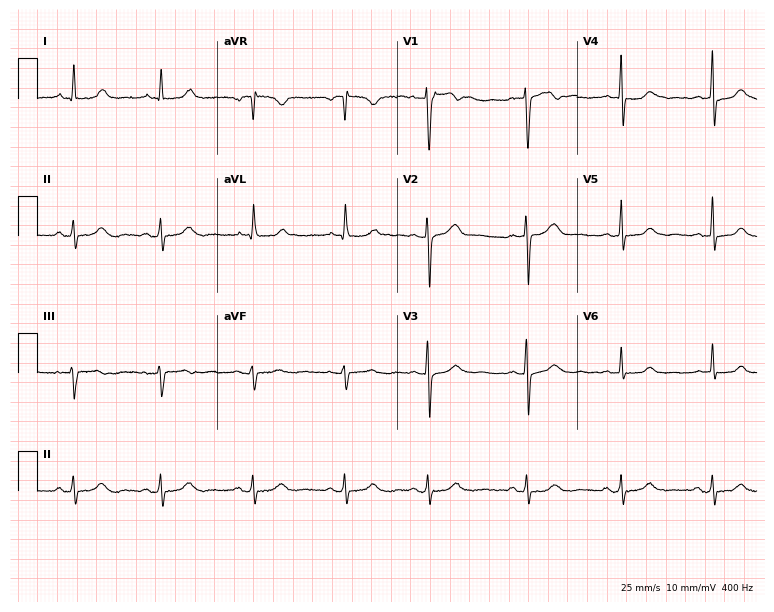
Standard 12-lead ECG recorded from a 40-year-old woman. None of these six findings is recorded: first-degree AV block, right bundle branch block (RBBB), left bundle branch block (LBBB), sinus bradycardia, atrial fibrillation (AF), sinus tachycardia. Only these six findings were labelled.